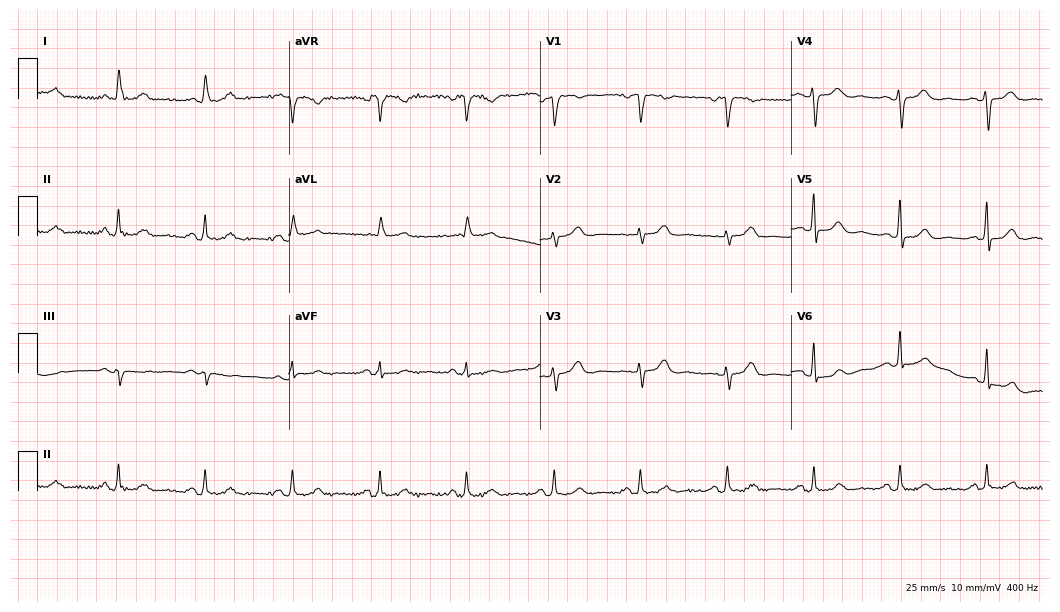
Electrocardiogram, a 77-year-old woman. Overall reading on record: normal ECG.